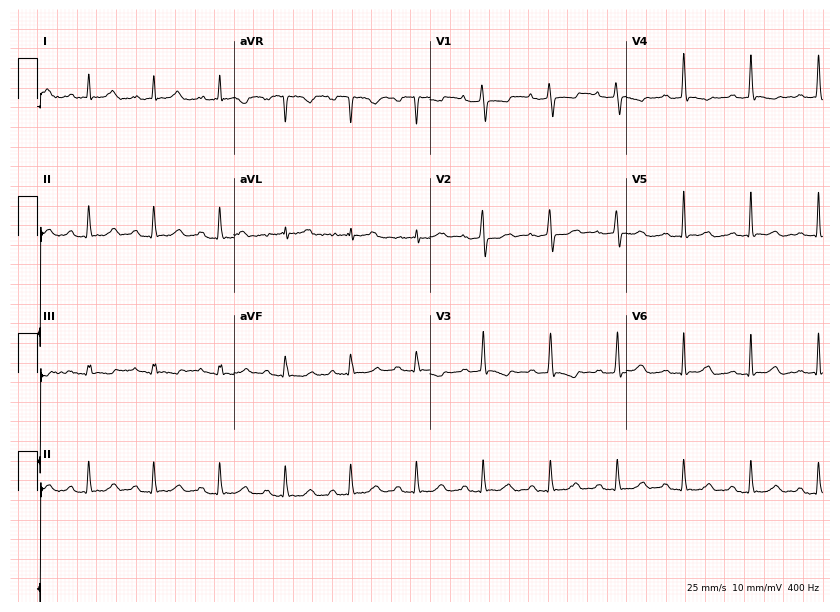
Electrocardiogram (8-second recording at 400 Hz), a female, 25 years old. Of the six screened findings (first-degree AV block, right bundle branch block, left bundle branch block, sinus bradycardia, atrial fibrillation, sinus tachycardia), none is recorded. Findings outside these six are not listed.